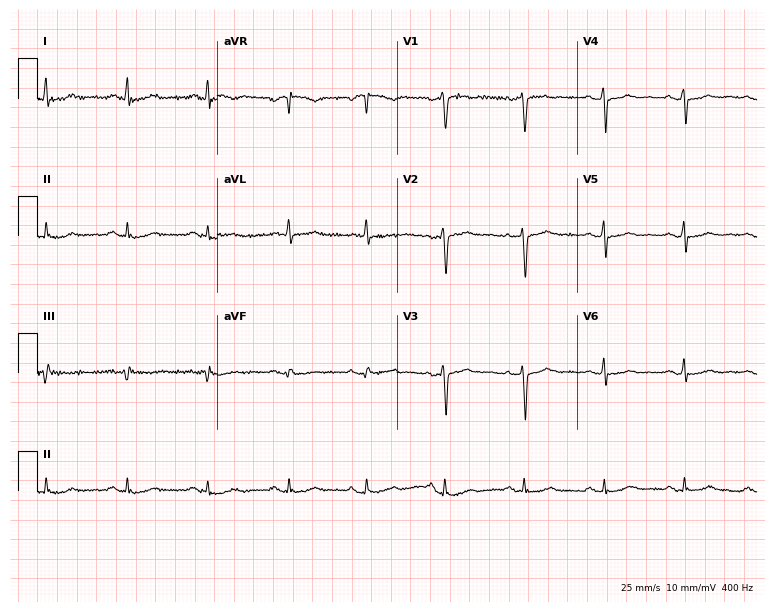
Resting 12-lead electrocardiogram. Patient: a female, 46 years old. None of these six findings is recorded: first-degree AV block, right bundle branch block, left bundle branch block, sinus bradycardia, atrial fibrillation, sinus tachycardia.